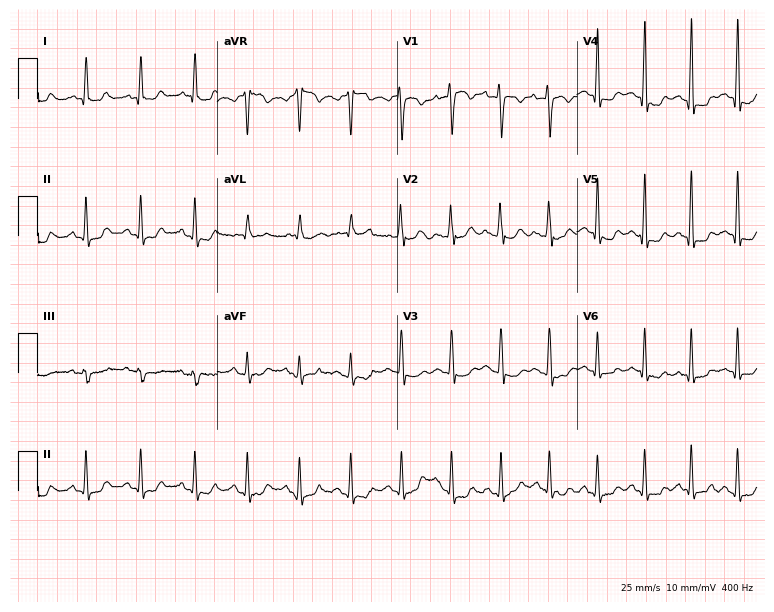
12-lead ECG from a 27-year-old woman (7.3-second recording at 400 Hz). No first-degree AV block, right bundle branch block (RBBB), left bundle branch block (LBBB), sinus bradycardia, atrial fibrillation (AF) or sinus tachycardia recorded for this tracing. Findings outside these six are not listed.